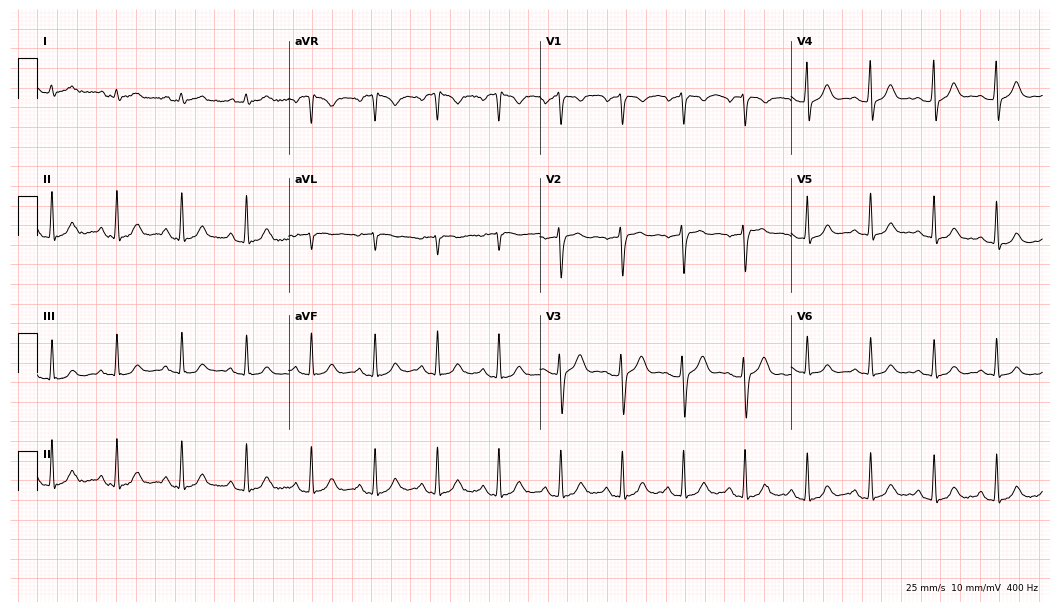
ECG — a male patient, 28 years old. Labelled as a normal ECG.